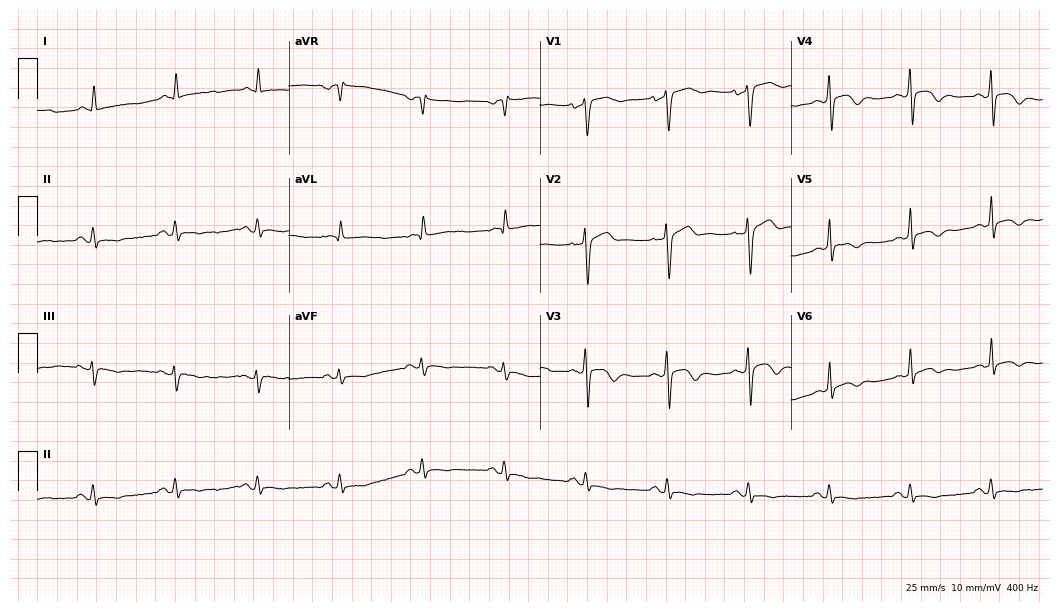
Resting 12-lead electrocardiogram. Patient: a 66-year-old male. Read as a normal ECG.